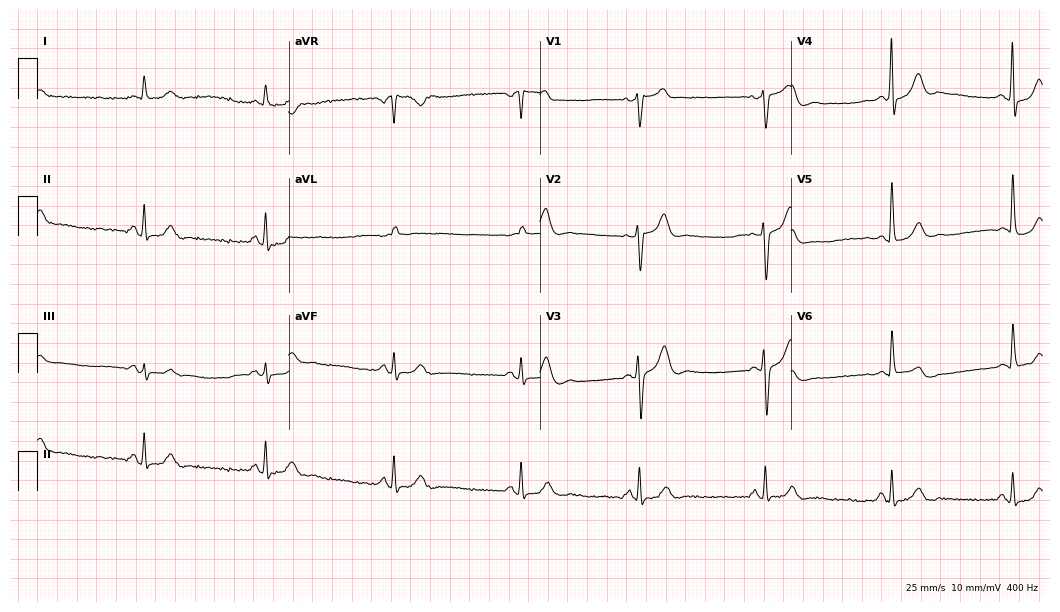
ECG — a male patient, 75 years old. Findings include sinus bradycardia (a sinus rate of 50 beats per minute or less).